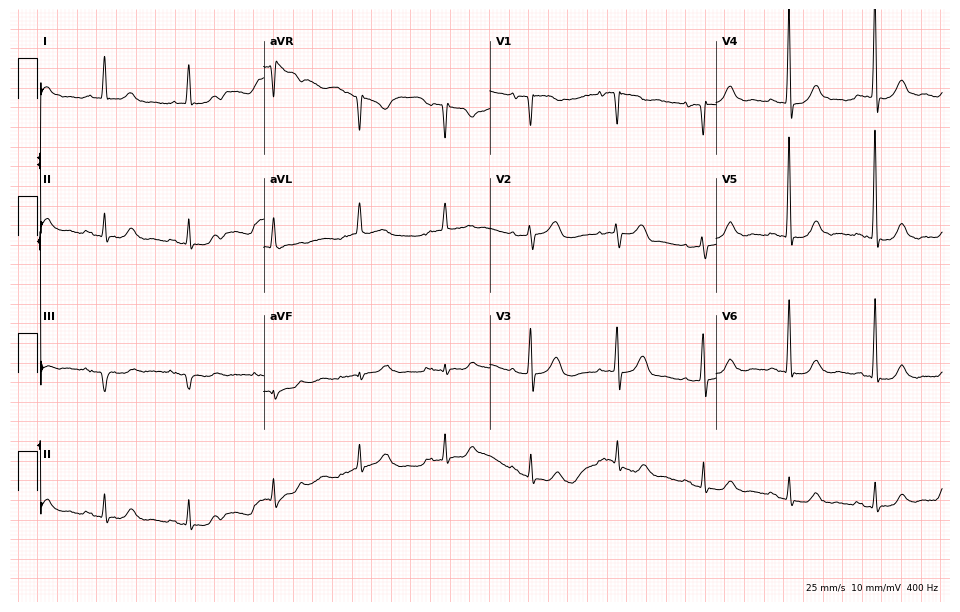
Electrocardiogram (9.2-second recording at 400 Hz), a male, 80 years old. Of the six screened findings (first-degree AV block, right bundle branch block (RBBB), left bundle branch block (LBBB), sinus bradycardia, atrial fibrillation (AF), sinus tachycardia), none is recorded. Only these six findings were labelled.